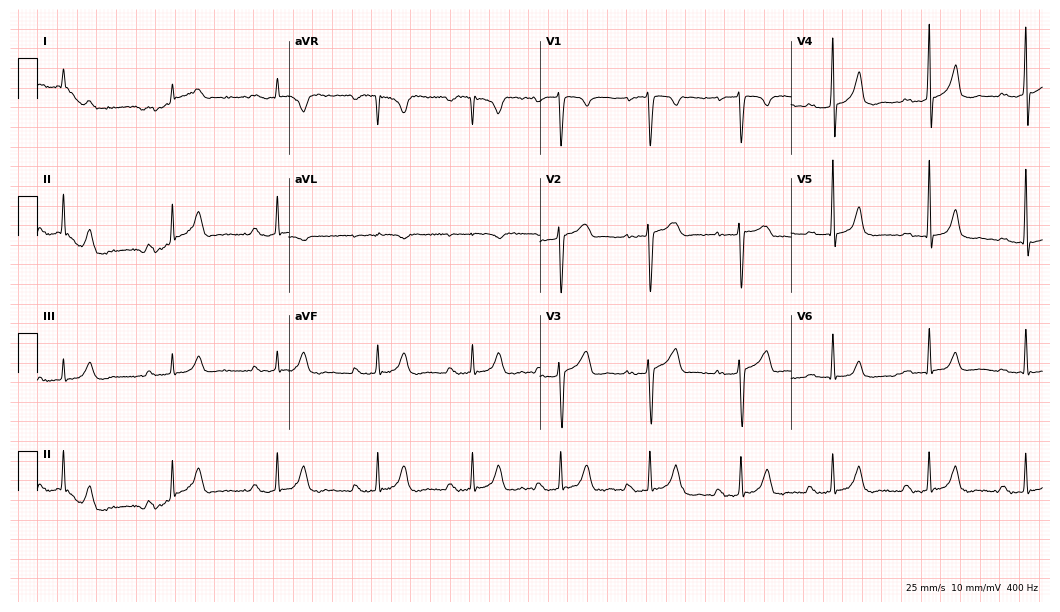
12-lead ECG from a male, 36 years old (10.2-second recording at 400 Hz). Shows first-degree AV block.